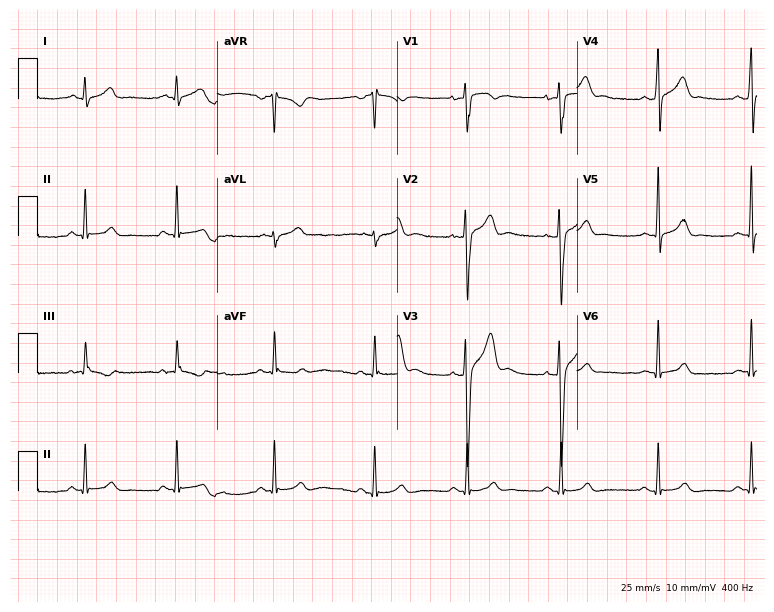
12-lead ECG from a 22-year-old man (7.3-second recording at 400 Hz). Recorded interpretation: within normal limits.